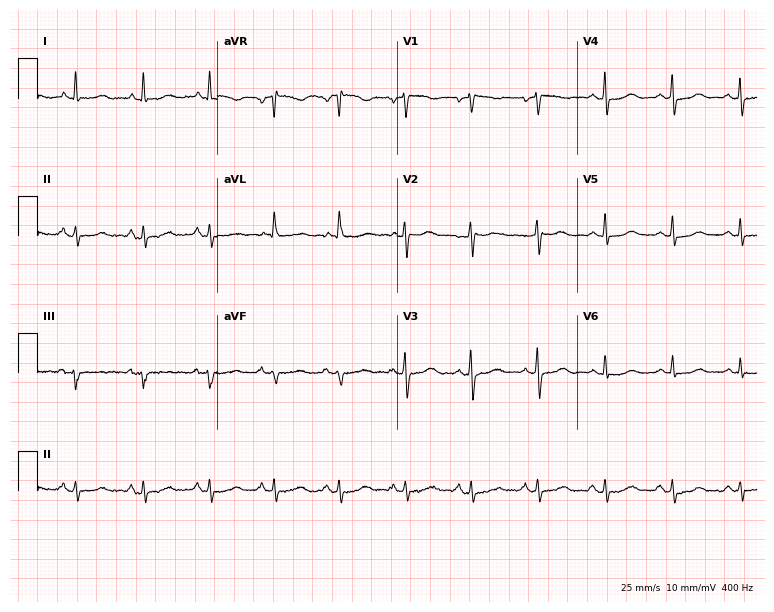
Standard 12-lead ECG recorded from a 79-year-old woman (7.3-second recording at 400 Hz). Read as a normal ECG.